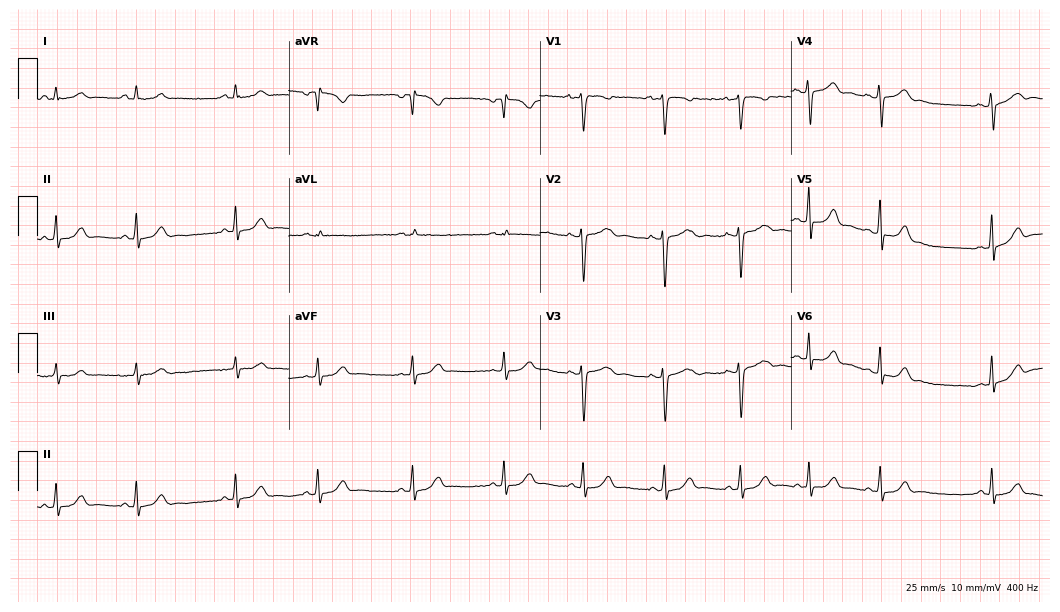
Standard 12-lead ECG recorded from a 17-year-old female. Read as a normal ECG.